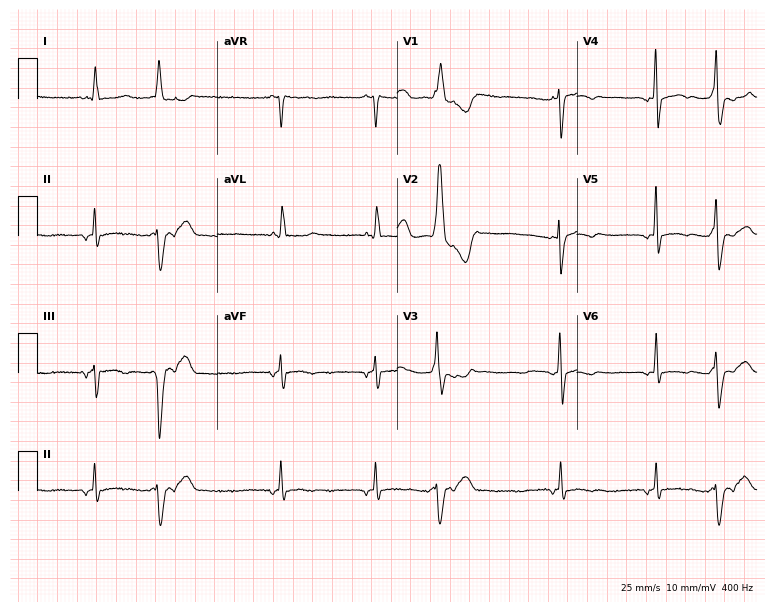
12-lead ECG from a 63-year-old woman (7.3-second recording at 400 Hz). No first-degree AV block, right bundle branch block (RBBB), left bundle branch block (LBBB), sinus bradycardia, atrial fibrillation (AF) or sinus tachycardia recorded for this tracing. Findings outside these six are not listed.